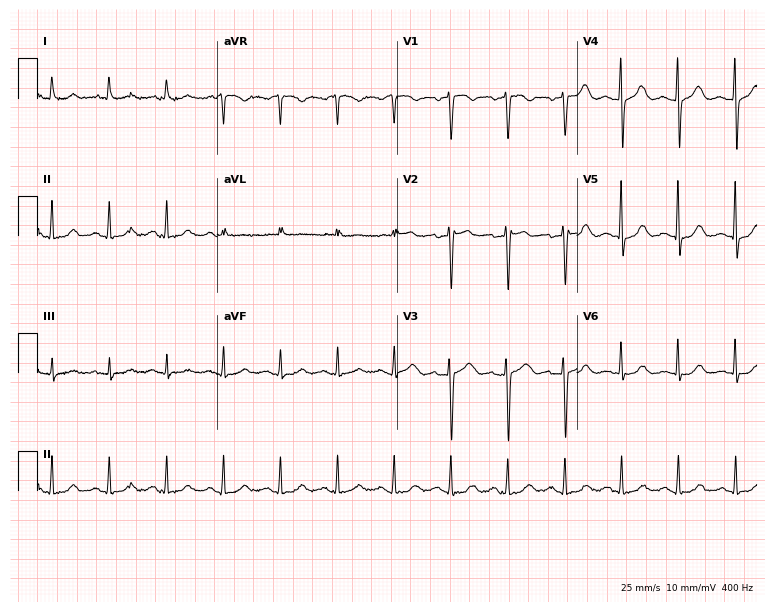
Standard 12-lead ECG recorded from a woman, 55 years old. The tracing shows sinus tachycardia (a sinus rate of 100 beats per minute or more).